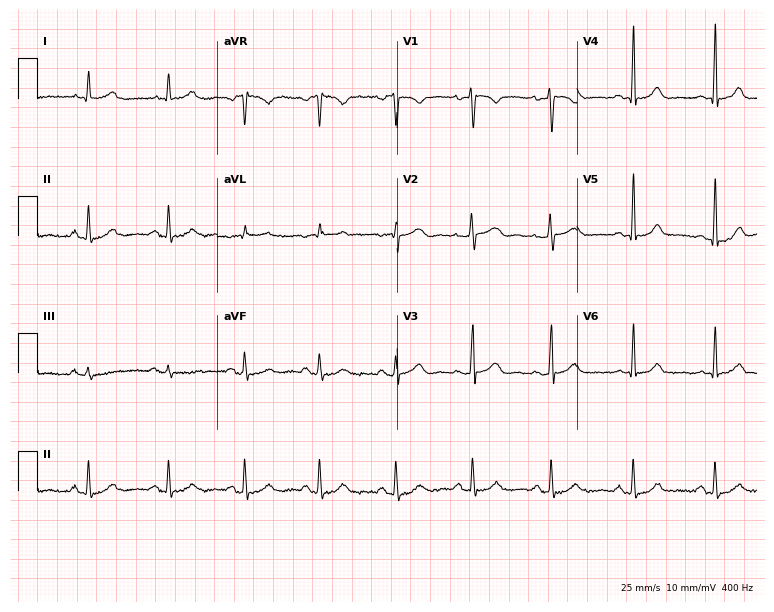
Standard 12-lead ECG recorded from a female, 41 years old. None of these six findings is recorded: first-degree AV block, right bundle branch block (RBBB), left bundle branch block (LBBB), sinus bradycardia, atrial fibrillation (AF), sinus tachycardia.